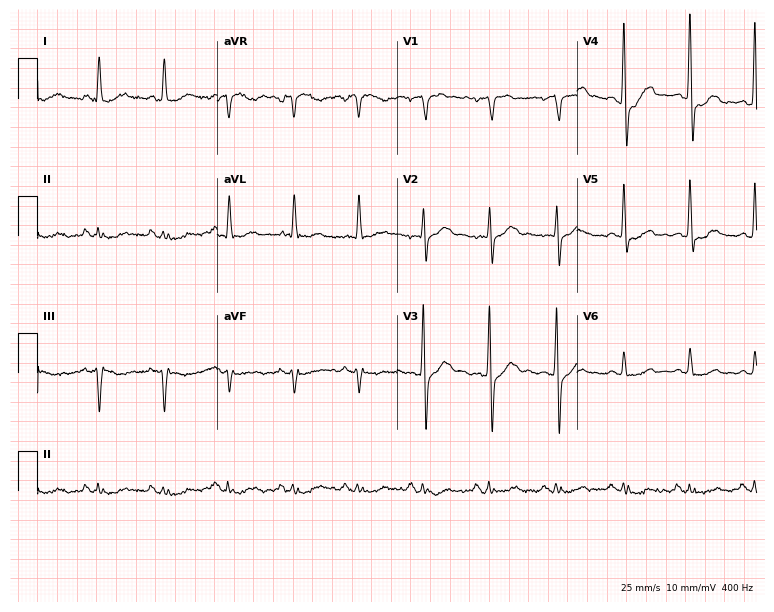
12-lead ECG from a 67-year-old male. Screened for six findings — first-degree AV block, right bundle branch block (RBBB), left bundle branch block (LBBB), sinus bradycardia, atrial fibrillation (AF), sinus tachycardia — none is recorded. Other findings, if any, are not listed.